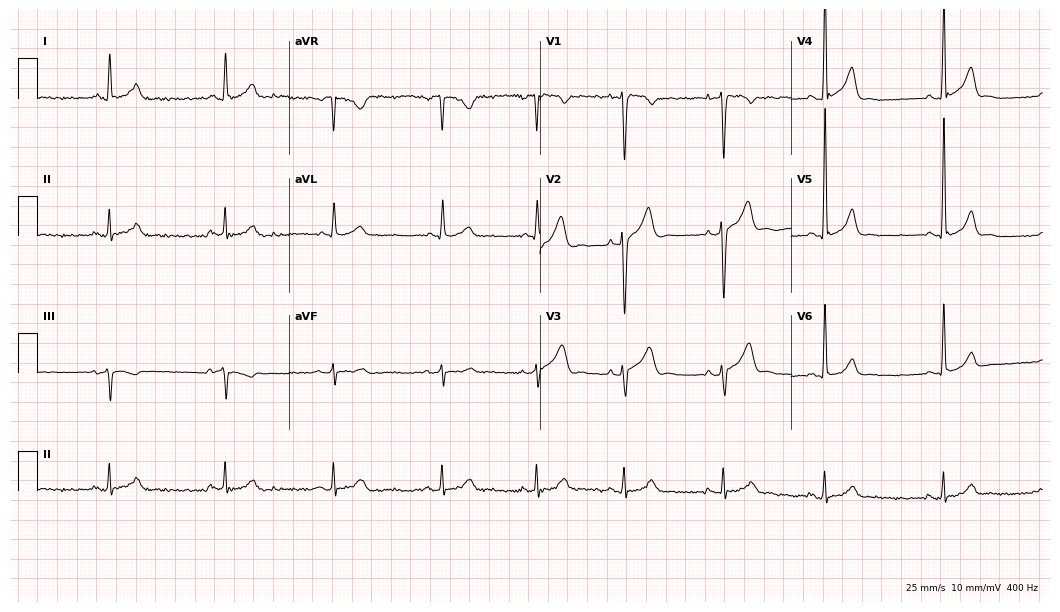
Standard 12-lead ECG recorded from a 44-year-old man (10.2-second recording at 400 Hz). None of these six findings is recorded: first-degree AV block, right bundle branch block, left bundle branch block, sinus bradycardia, atrial fibrillation, sinus tachycardia. Findings outside these six are not listed.